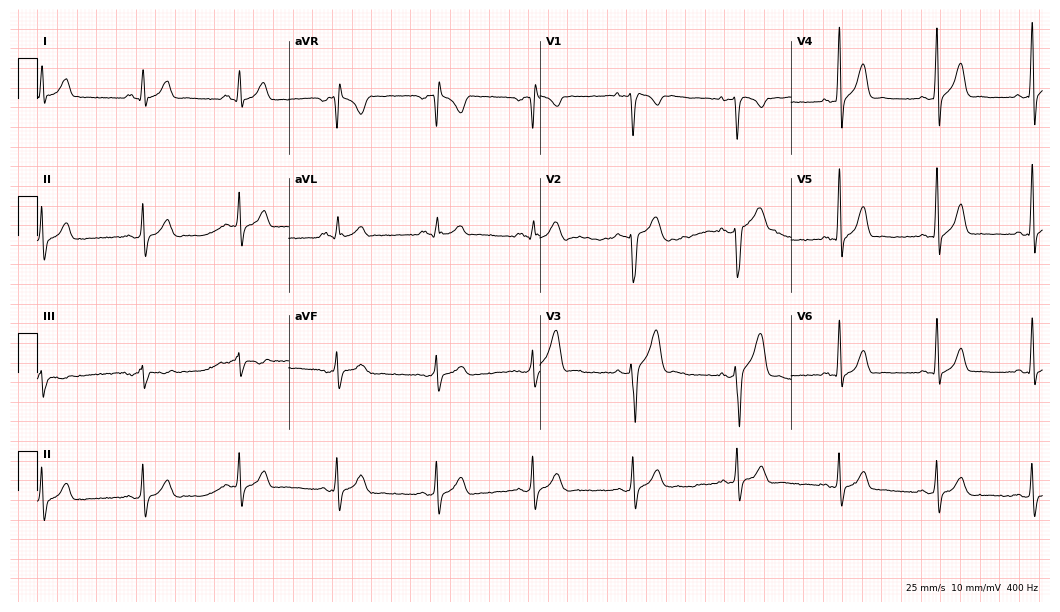
Resting 12-lead electrocardiogram. Patient: a 25-year-old male. Read as a normal ECG.